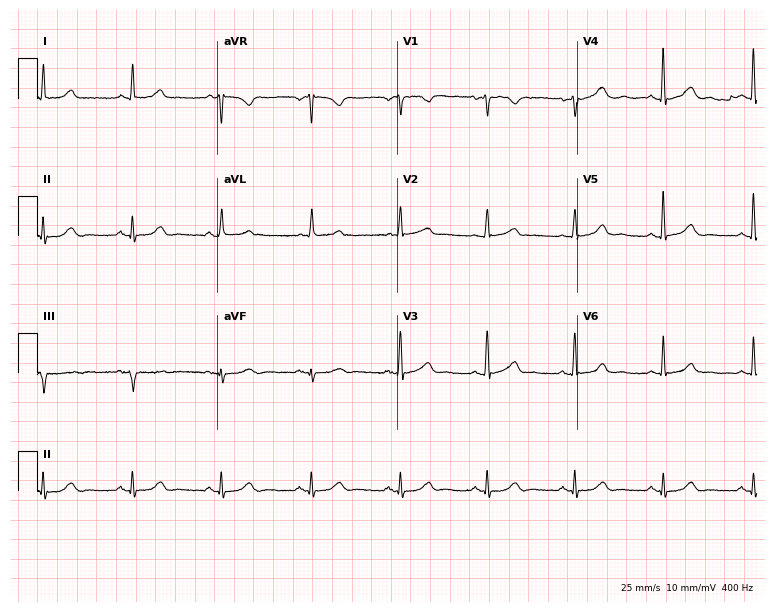
Standard 12-lead ECG recorded from a female patient, 63 years old. Read as a normal ECG.